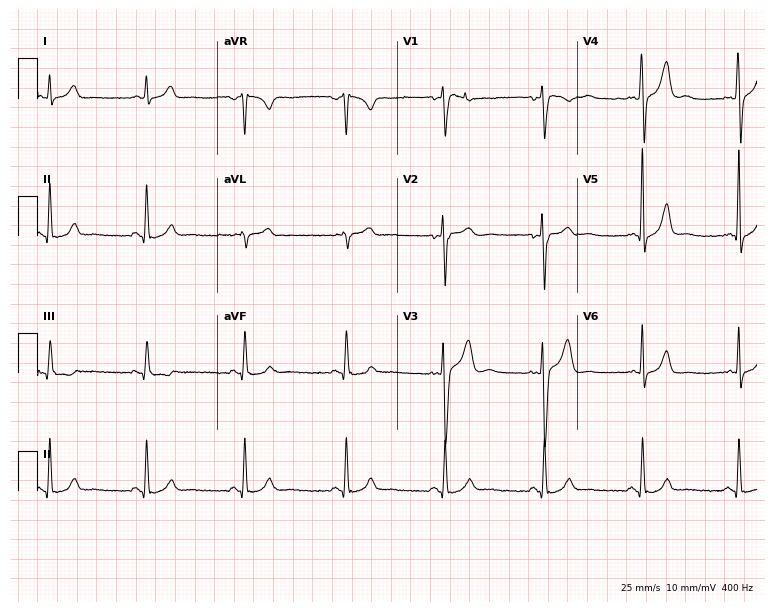
12-lead ECG (7.3-second recording at 400 Hz) from a man, 80 years old. Screened for six findings — first-degree AV block, right bundle branch block, left bundle branch block, sinus bradycardia, atrial fibrillation, sinus tachycardia — none is recorded.